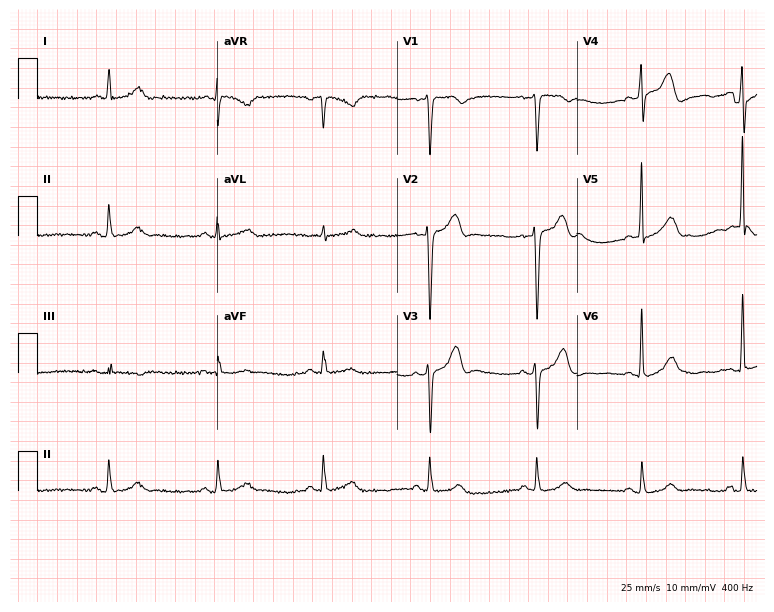
12-lead ECG from a man, 72 years old. Screened for six findings — first-degree AV block, right bundle branch block, left bundle branch block, sinus bradycardia, atrial fibrillation, sinus tachycardia — none is recorded.